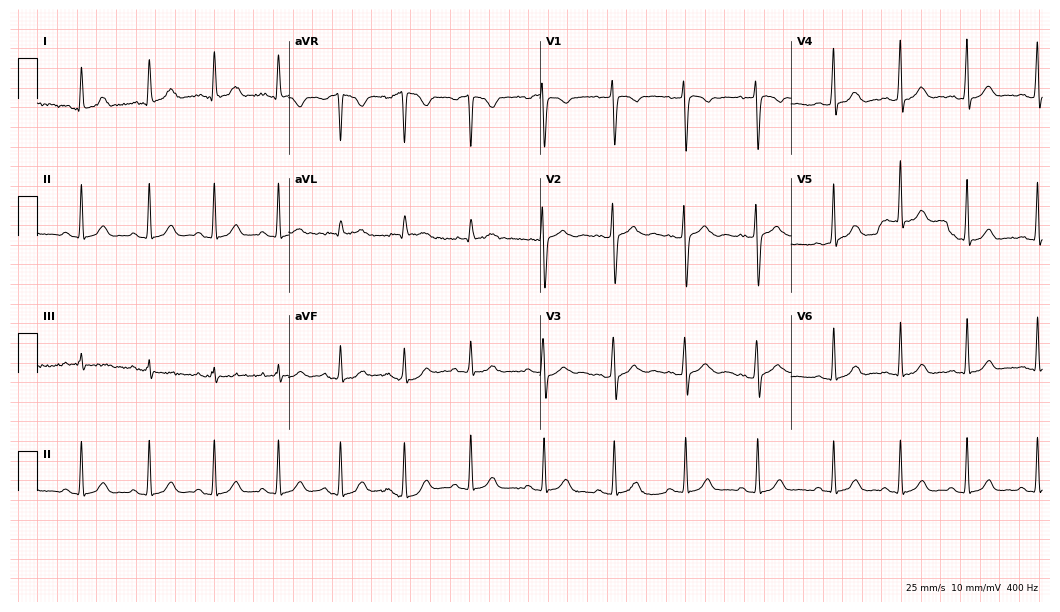
ECG — a female, 19 years old. Labelled as a normal ECG.